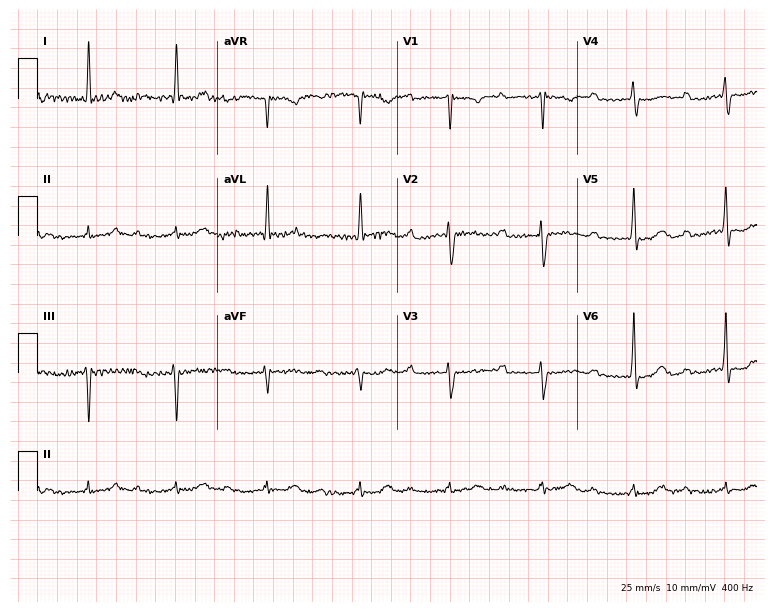
Resting 12-lead electrocardiogram (7.3-second recording at 400 Hz). Patient: a man, 81 years old. None of these six findings is recorded: first-degree AV block, right bundle branch block, left bundle branch block, sinus bradycardia, atrial fibrillation, sinus tachycardia. Other findings, if any, are not listed.